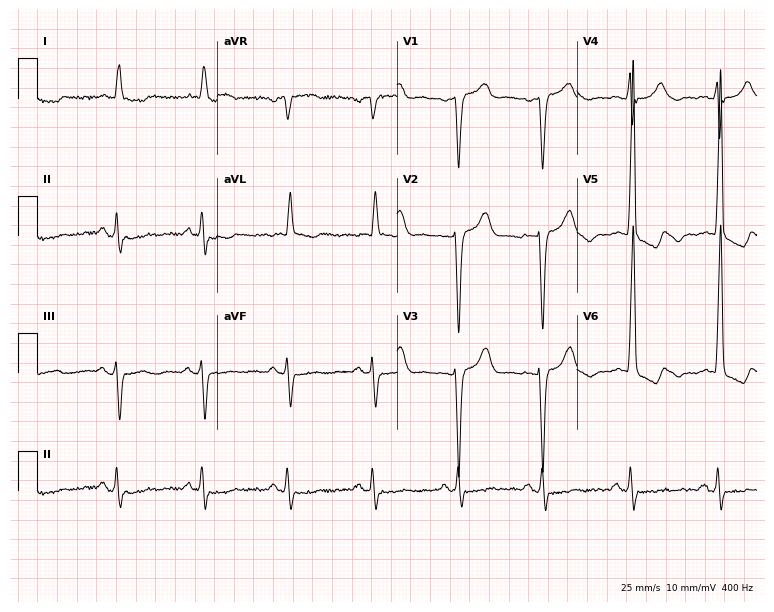
Standard 12-lead ECG recorded from a 79-year-old male patient (7.3-second recording at 400 Hz). The tracing shows left bundle branch block.